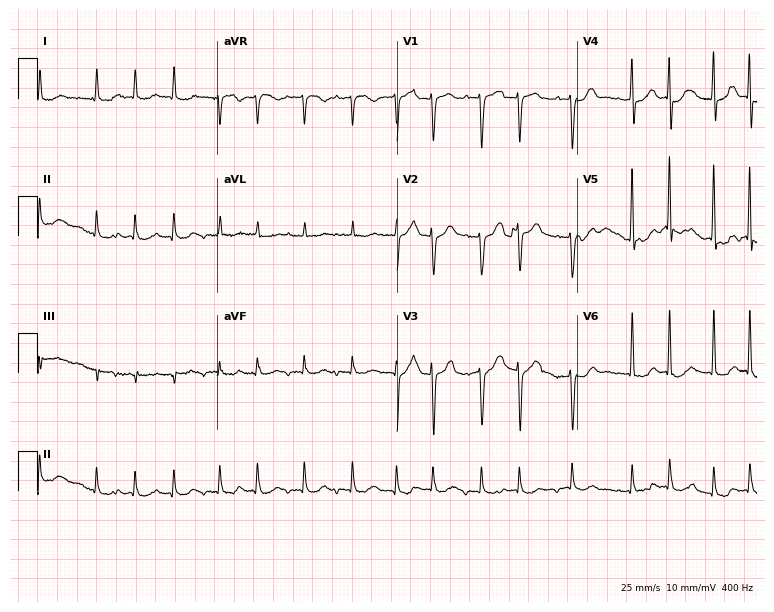
Electrocardiogram (7.3-second recording at 400 Hz), a female patient, 81 years old. Interpretation includes atrial fibrillation.